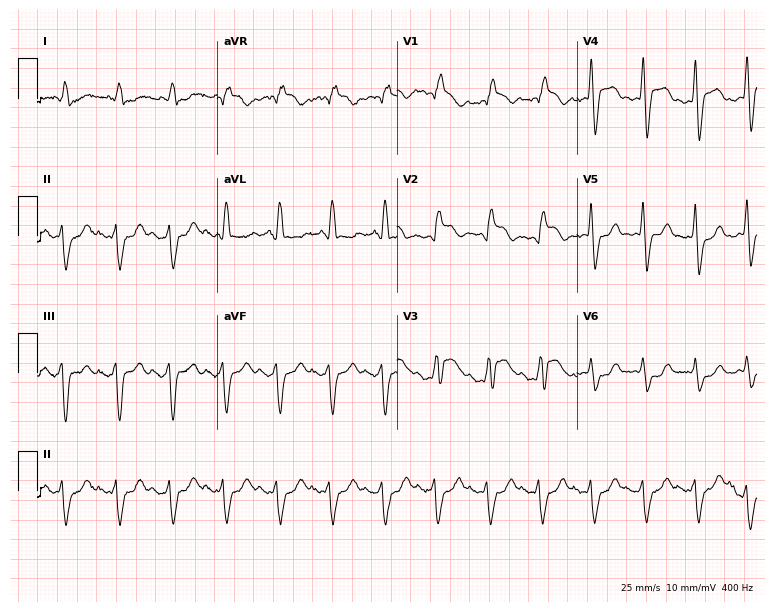
12-lead ECG from a 75-year-old male. Shows right bundle branch block, sinus tachycardia (a sinus rate of 100 beats per minute or more).